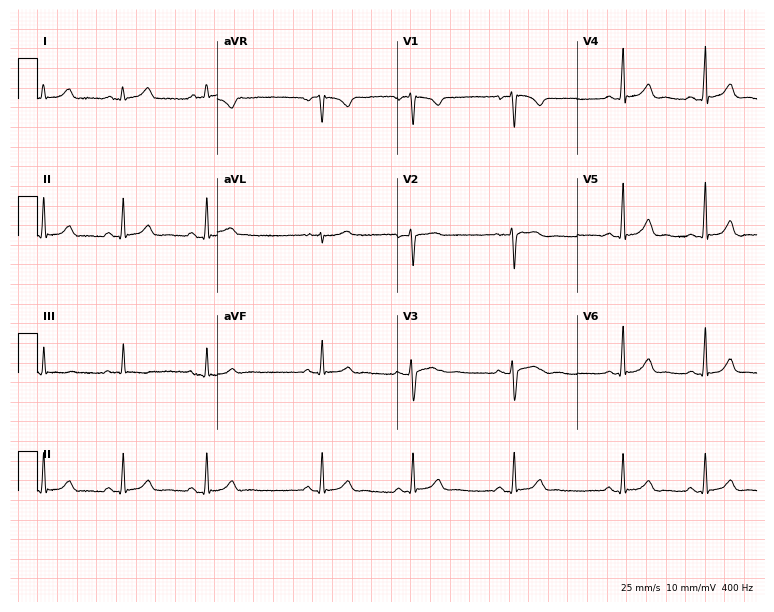
12-lead ECG (7.3-second recording at 400 Hz) from a female, 22 years old. Labelled as a normal ECG.